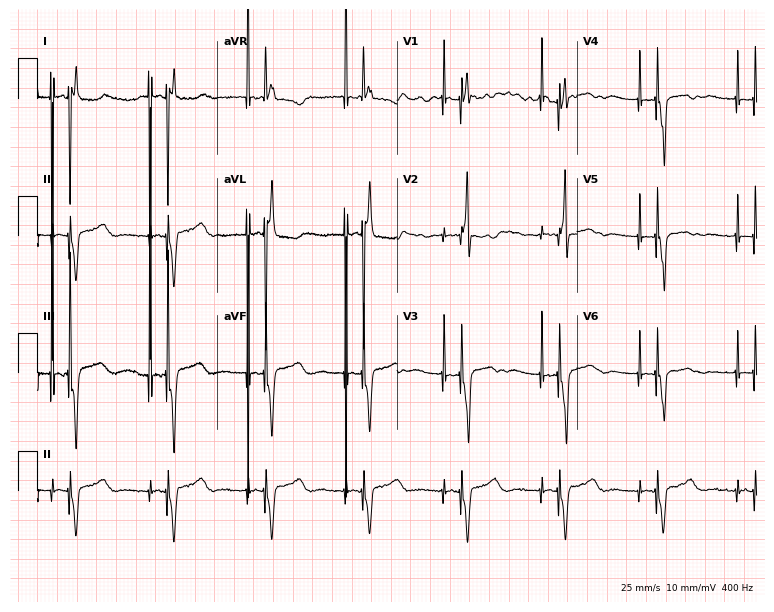
Resting 12-lead electrocardiogram (7.3-second recording at 400 Hz). Patient: a 78-year-old female. None of these six findings is recorded: first-degree AV block, right bundle branch block, left bundle branch block, sinus bradycardia, atrial fibrillation, sinus tachycardia.